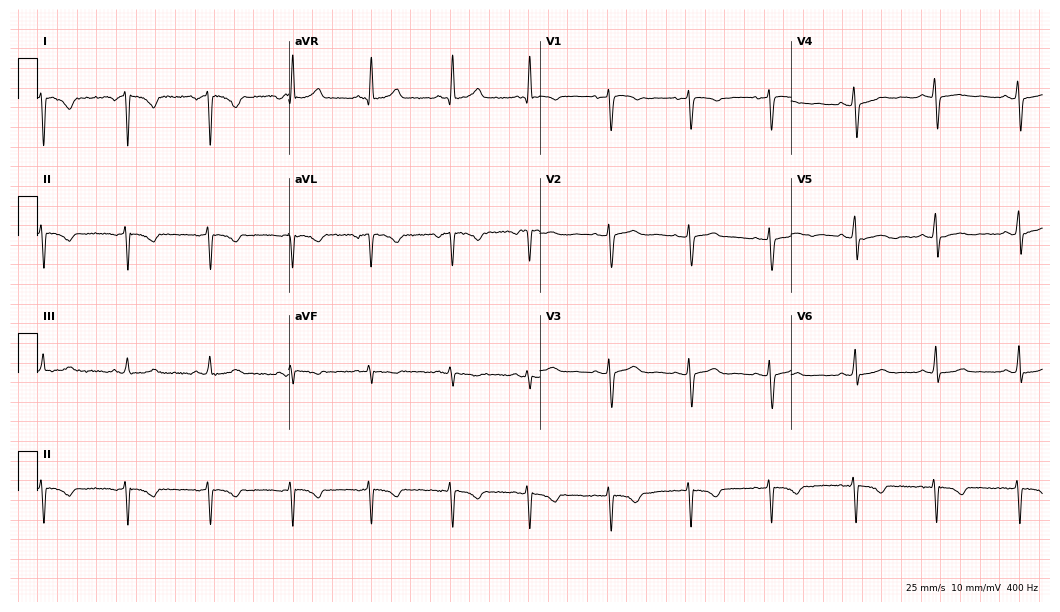
Standard 12-lead ECG recorded from a man, 71 years old. None of these six findings is recorded: first-degree AV block, right bundle branch block, left bundle branch block, sinus bradycardia, atrial fibrillation, sinus tachycardia. Only these six findings were labelled.